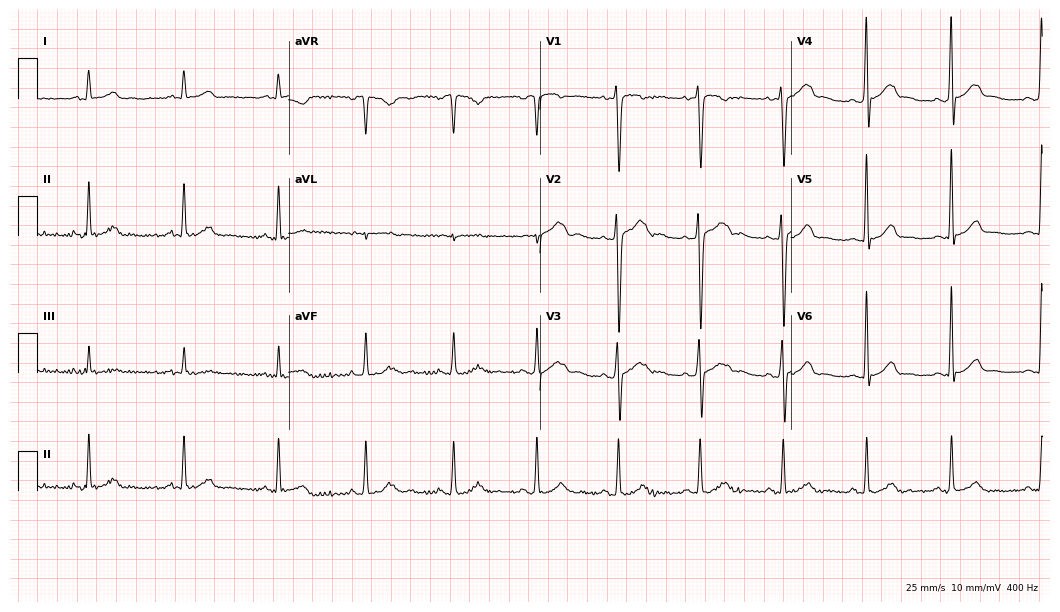
ECG — a 22-year-old male. Labelled as a normal ECG.